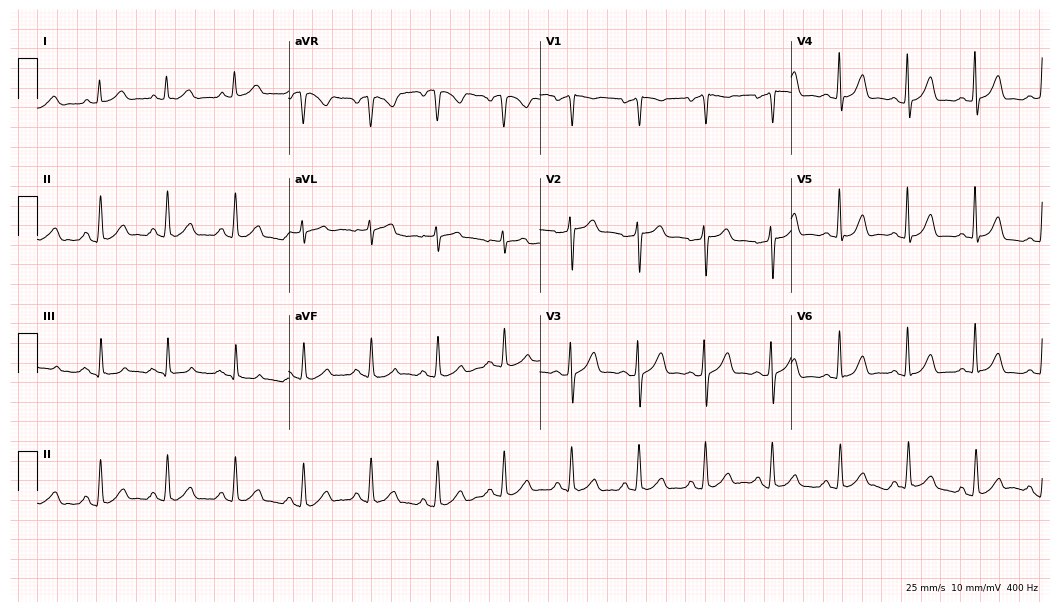
12-lead ECG (10.2-second recording at 400 Hz) from a female, 63 years old. Labelled as a normal ECG.